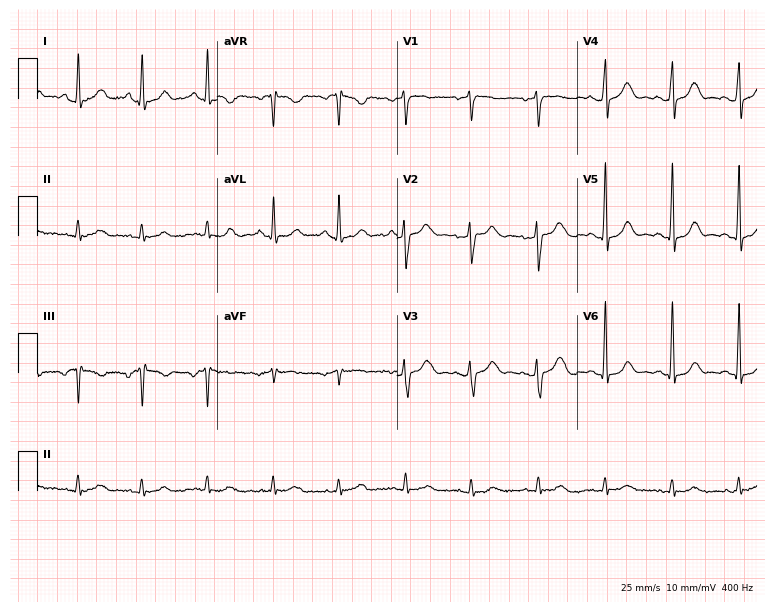
Resting 12-lead electrocardiogram. Patient: a 49-year-old female. Read as a normal ECG.